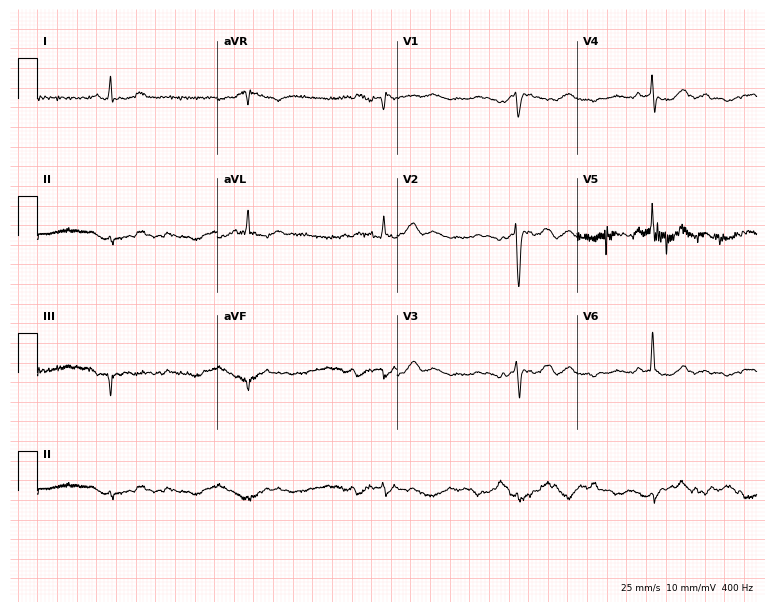
Electrocardiogram (7.3-second recording at 400 Hz), a 58-year-old man. Of the six screened findings (first-degree AV block, right bundle branch block, left bundle branch block, sinus bradycardia, atrial fibrillation, sinus tachycardia), none is recorded. Findings outside these six are not listed.